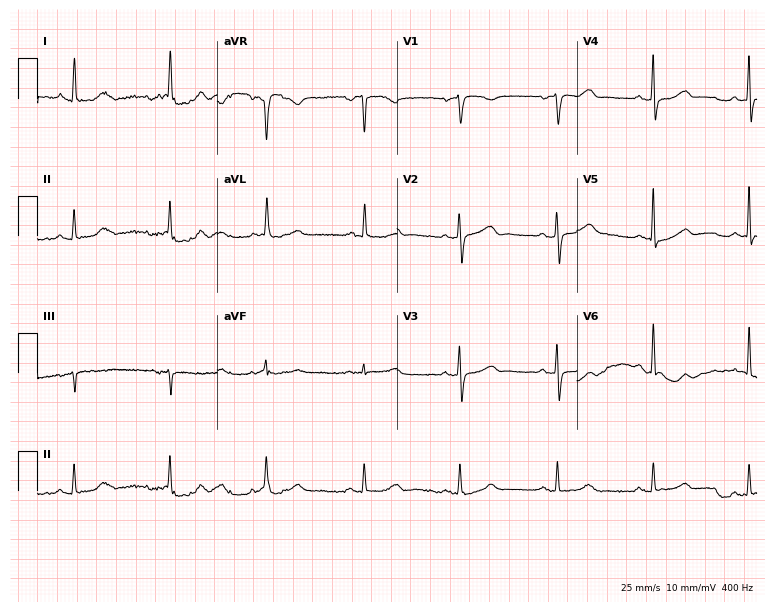
Electrocardiogram, an 81-year-old female. Overall reading on record: normal ECG.